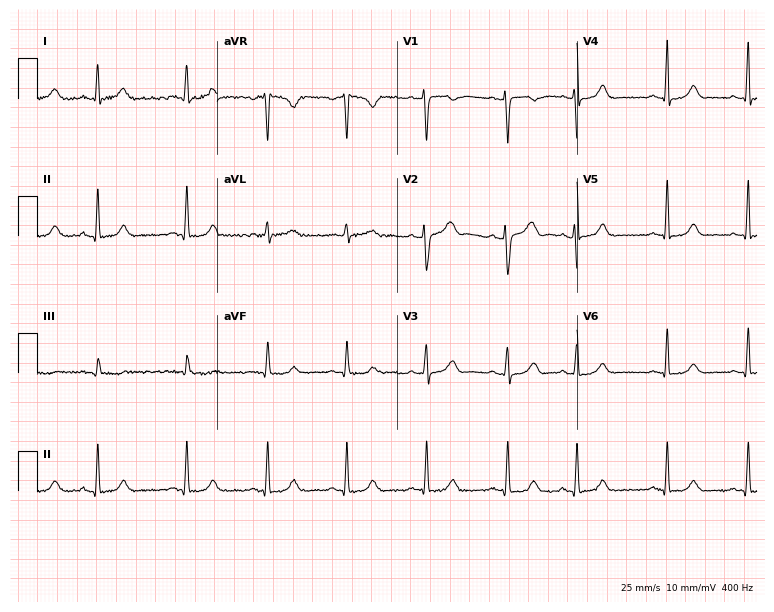
Resting 12-lead electrocardiogram. Patient: a 47-year-old female. Read as a normal ECG.